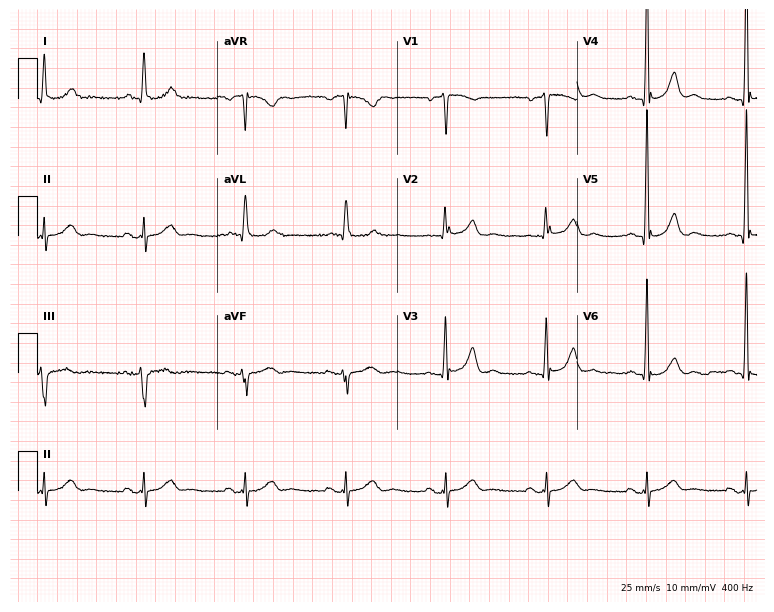
Standard 12-lead ECG recorded from a male, 75 years old. None of these six findings is recorded: first-degree AV block, right bundle branch block, left bundle branch block, sinus bradycardia, atrial fibrillation, sinus tachycardia. Only these six findings were labelled.